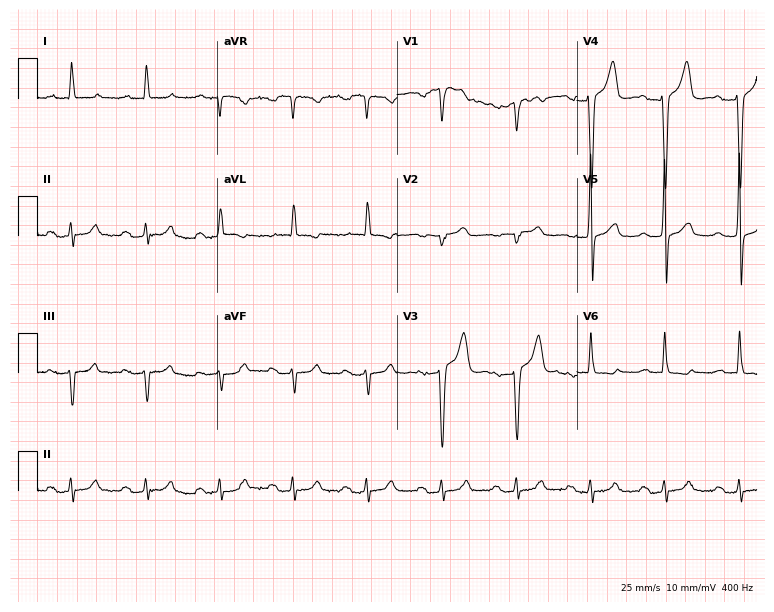
Standard 12-lead ECG recorded from a 60-year-old male. The tracing shows first-degree AV block.